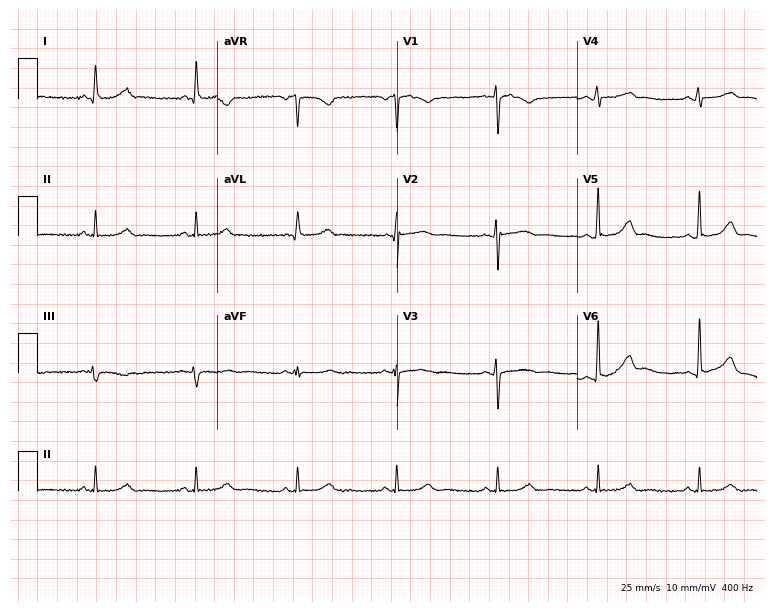
12-lead ECG from a female, 57 years old. Recorded interpretation: within normal limits.